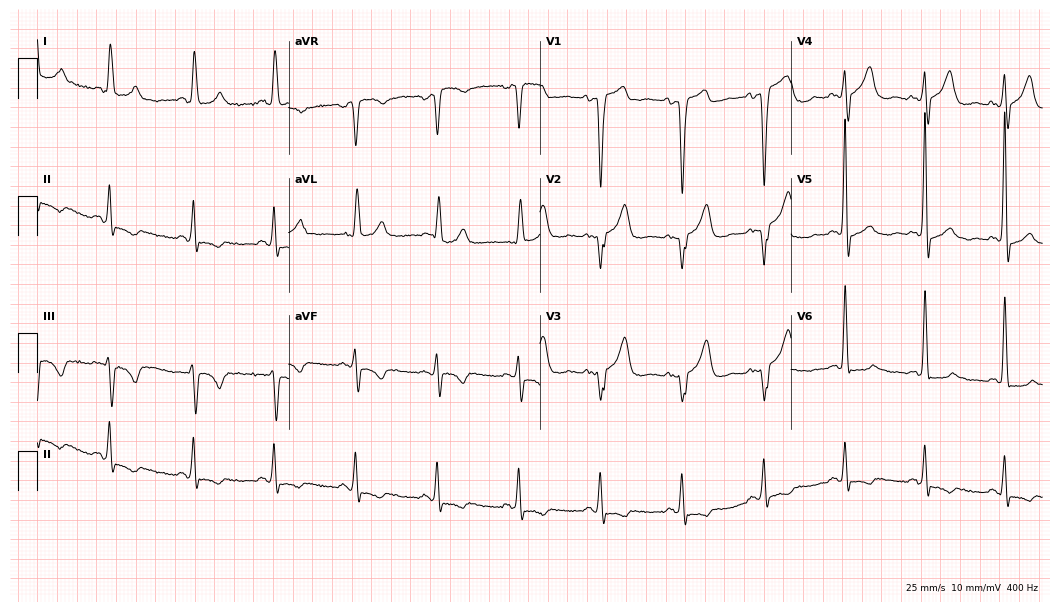
12-lead ECG from a man, 55 years old. Screened for six findings — first-degree AV block, right bundle branch block, left bundle branch block, sinus bradycardia, atrial fibrillation, sinus tachycardia — none is recorded. Only these six findings were labelled.